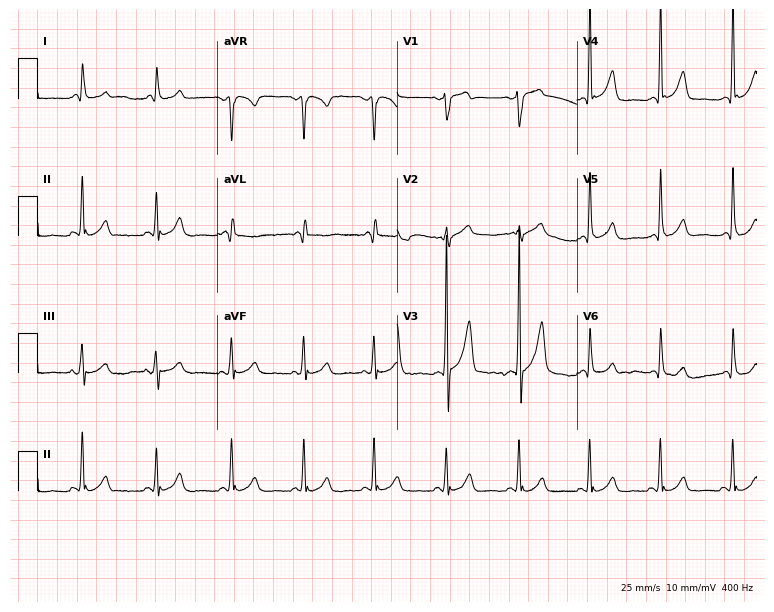
ECG (7.3-second recording at 400 Hz) — a 48-year-old man. Screened for six findings — first-degree AV block, right bundle branch block (RBBB), left bundle branch block (LBBB), sinus bradycardia, atrial fibrillation (AF), sinus tachycardia — none is recorded.